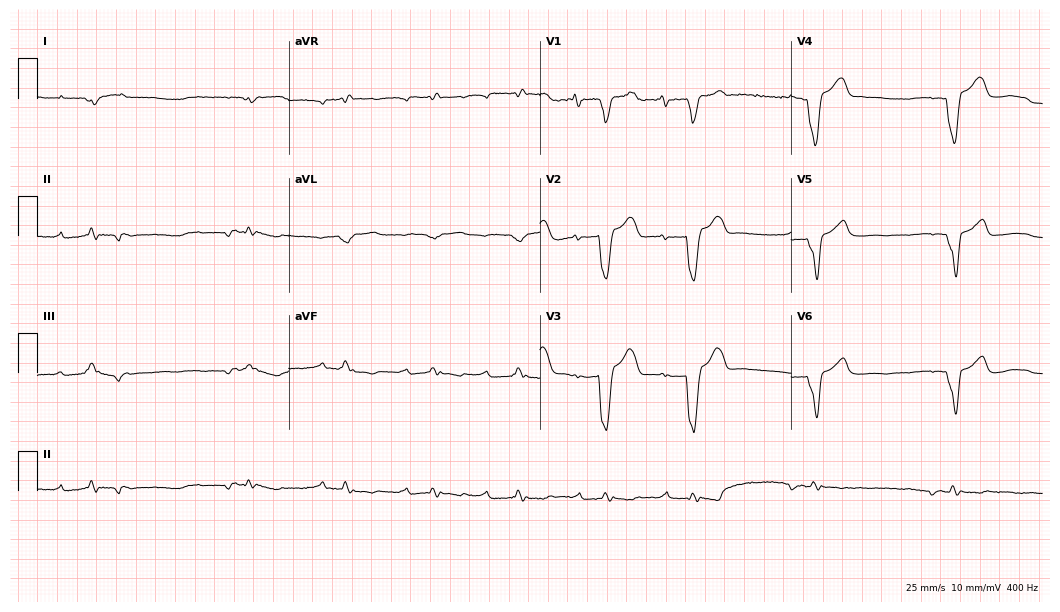
12-lead ECG from a male patient, 84 years old (10.2-second recording at 400 Hz). No first-degree AV block, right bundle branch block, left bundle branch block, sinus bradycardia, atrial fibrillation or sinus tachycardia recorded for this tracing.